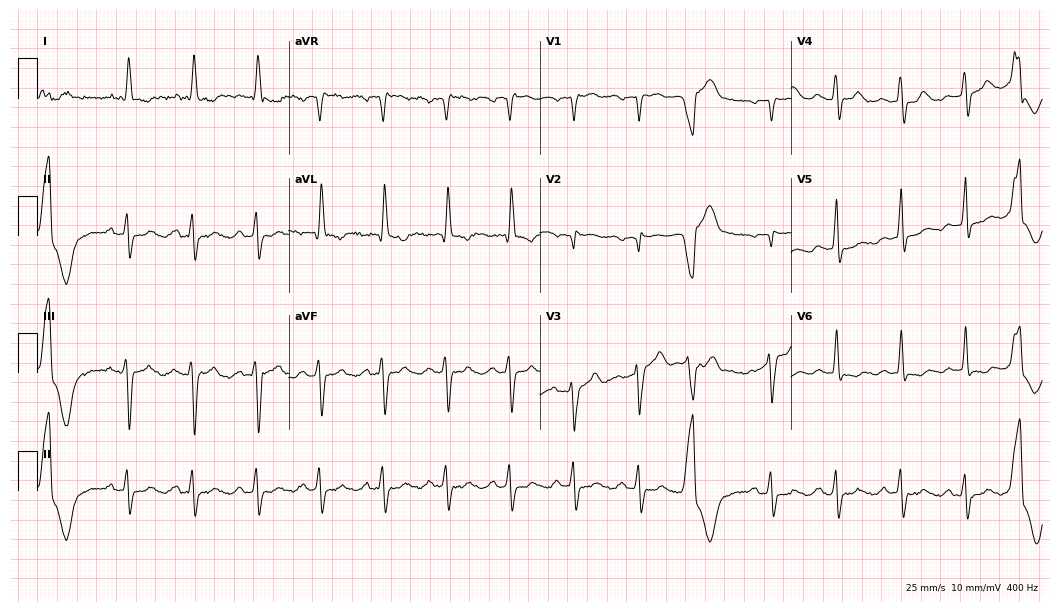
Electrocardiogram (10.2-second recording at 400 Hz), a female patient, 68 years old. Of the six screened findings (first-degree AV block, right bundle branch block (RBBB), left bundle branch block (LBBB), sinus bradycardia, atrial fibrillation (AF), sinus tachycardia), none is recorded. Findings outside these six are not listed.